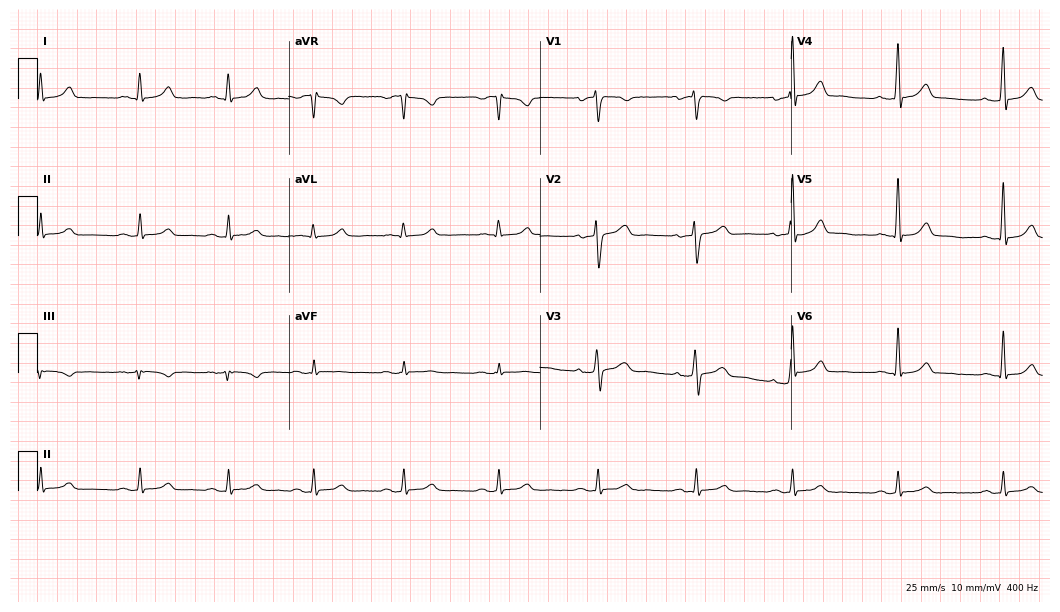
ECG (10.2-second recording at 400 Hz) — a 43-year-old male patient. Labelled as a normal ECG.